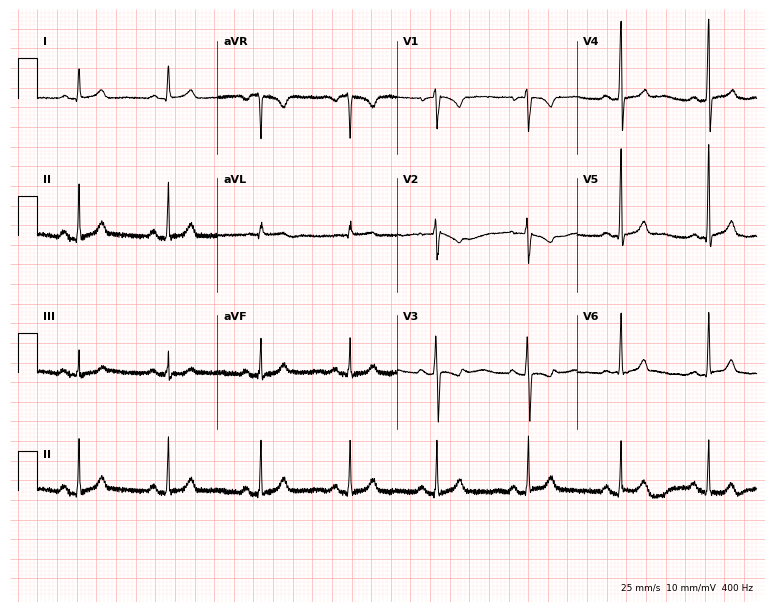
12-lead ECG from an 85-year-old woman (7.3-second recording at 400 Hz). No first-degree AV block, right bundle branch block, left bundle branch block, sinus bradycardia, atrial fibrillation or sinus tachycardia recorded for this tracing. Only these six findings were labelled.